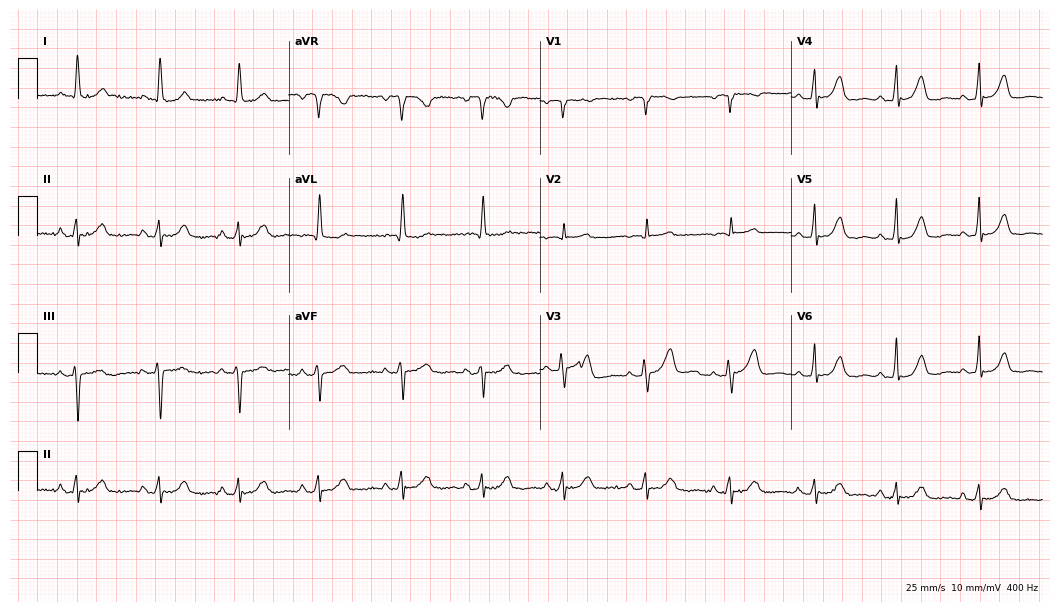
Resting 12-lead electrocardiogram (10.2-second recording at 400 Hz). Patient: a female, 80 years old. Read as a normal ECG.